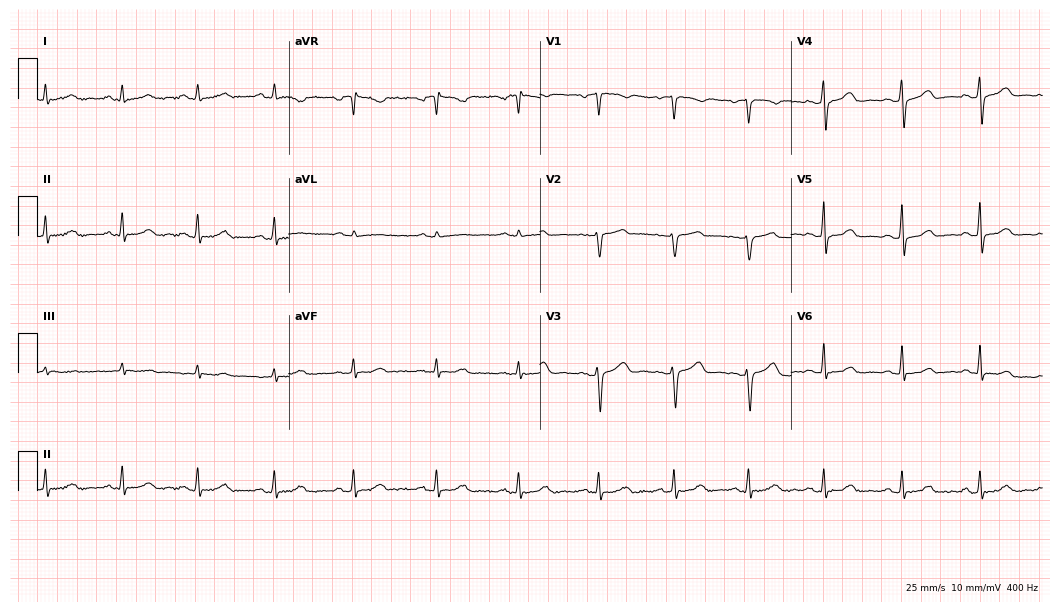
Standard 12-lead ECG recorded from a 47-year-old female. Read as a normal ECG.